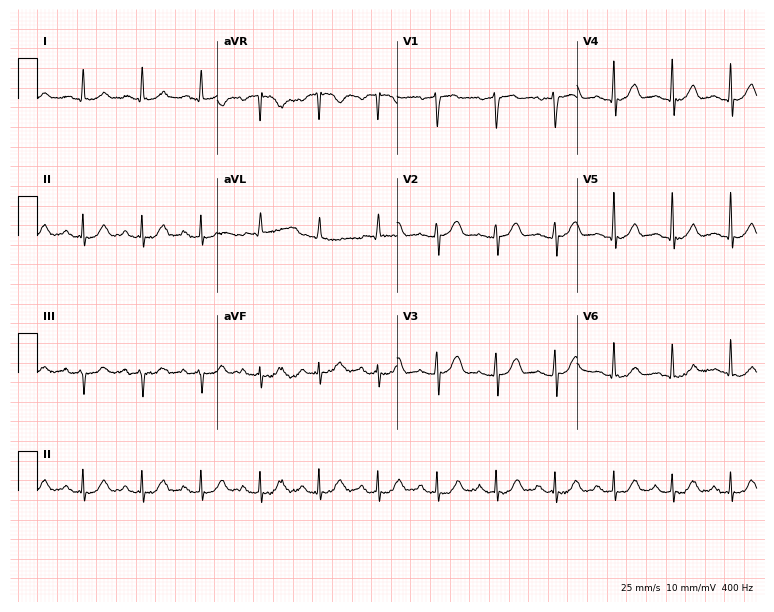
Standard 12-lead ECG recorded from a 79-year-old male patient (7.3-second recording at 400 Hz). The tracing shows sinus tachycardia (a sinus rate of 100 beats per minute or more).